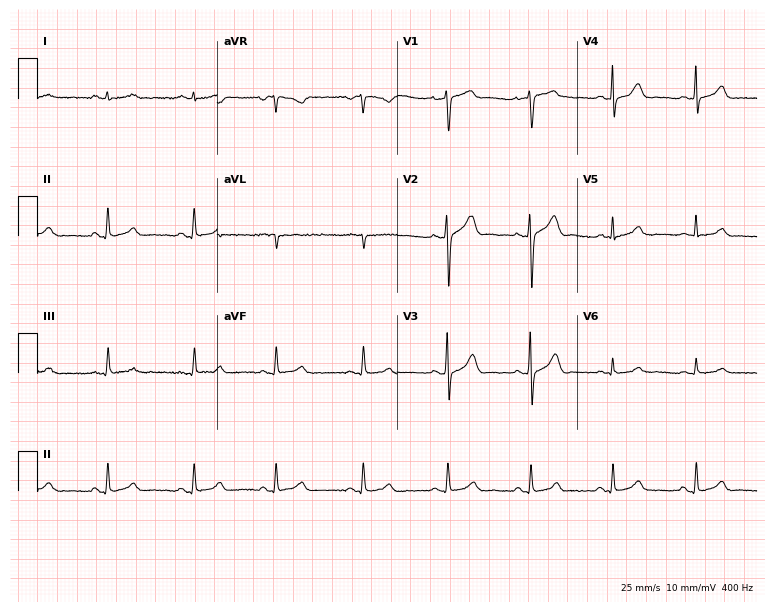
12-lead ECG from a male, 44 years old (7.3-second recording at 400 Hz). Recorded interpretation: within normal limits.